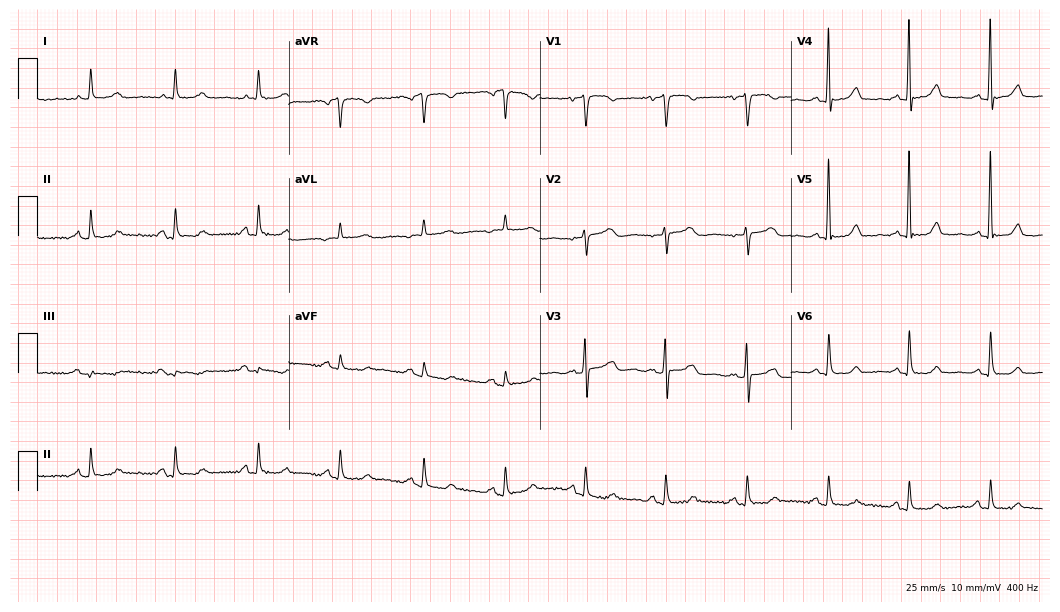
12-lead ECG from a 69-year-old woman. Recorded interpretation: within normal limits.